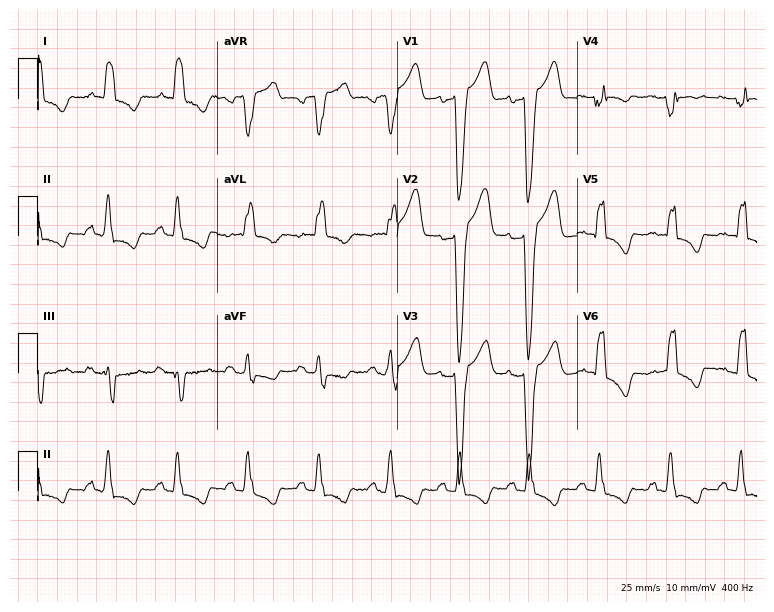
12-lead ECG (7.3-second recording at 400 Hz) from a female, 63 years old. Findings include left bundle branch block (LBBB).